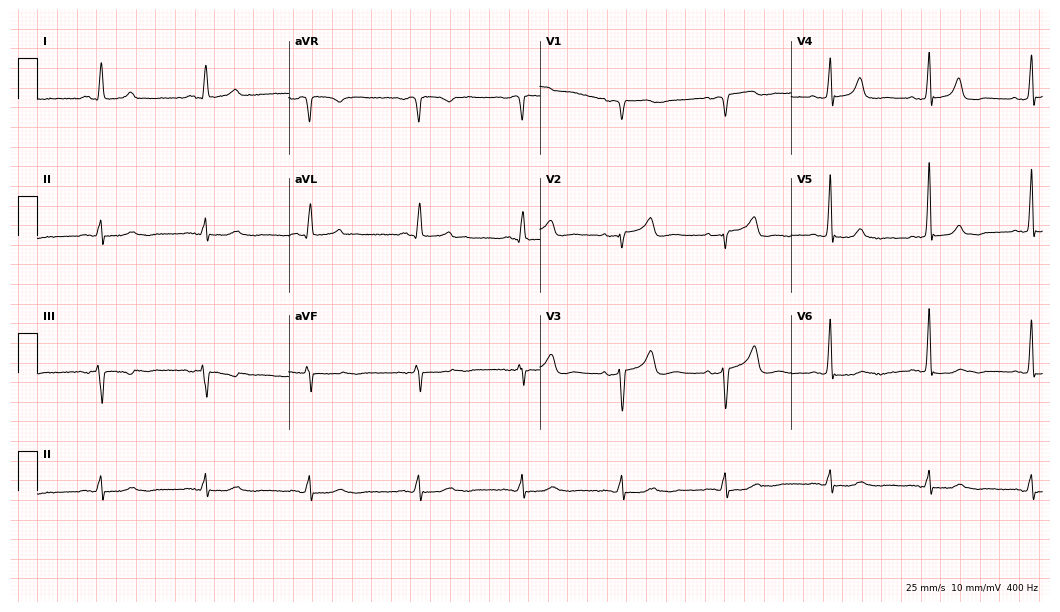
ECG (10.2-second recording at 400 Hz) — a female patient, 75 years old. Labelled as a normal ECG.